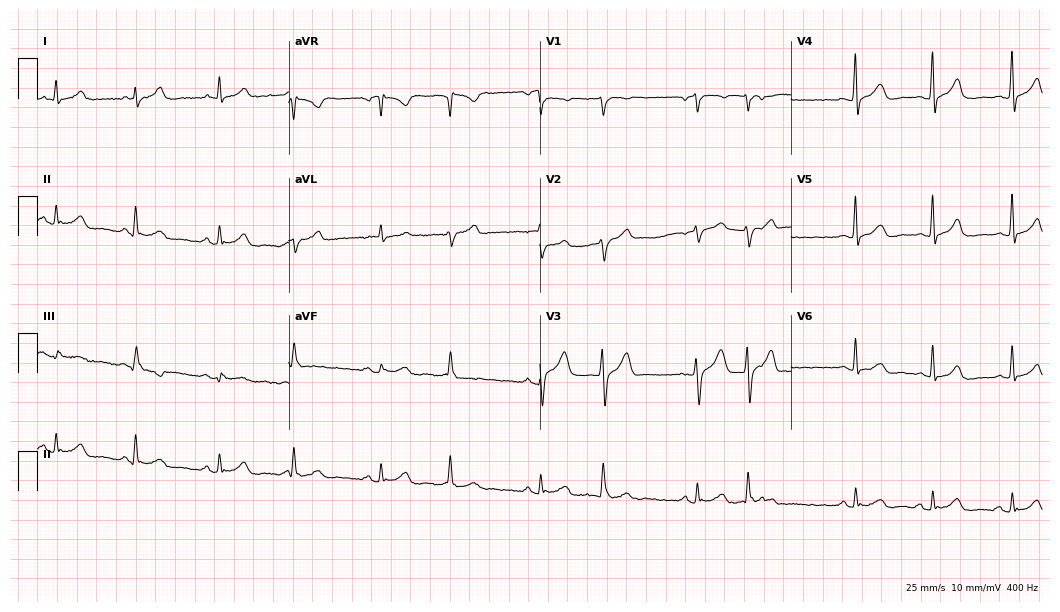
ECG — a 57-year-old man. Screened for six findings — first-degree AV block, right bundle branch block (RBBB), left bundle branch block (LBBB), sinus bradycardia, atrial fibrillation (AF), sinus tachycardia — none is recorded. Findings outside these six are not listed.